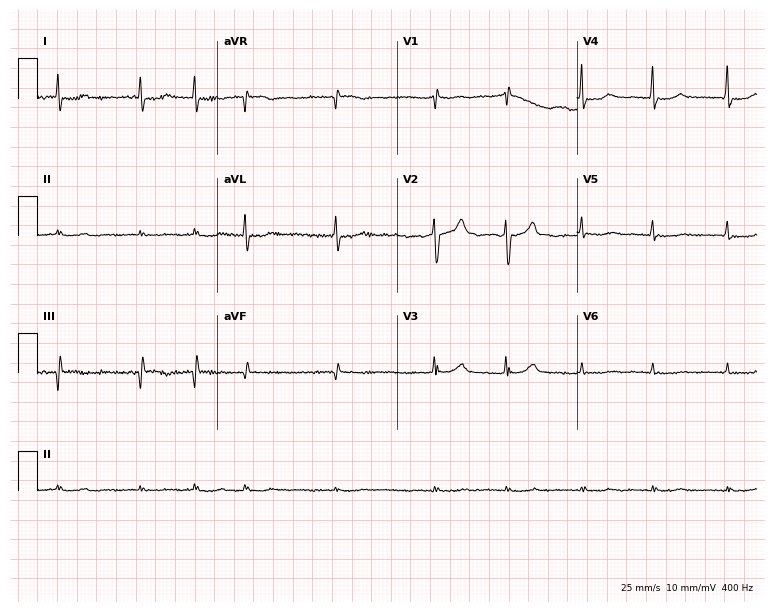
12-lead ECG from a male patient, 64 years old. No first-degree AV block, right bundle branch block (RBBB), left bundle branch block (LBBB), sinus bradycardia, atrial fibrillation (AF) or sinus tachycardia recorded for this tracing.